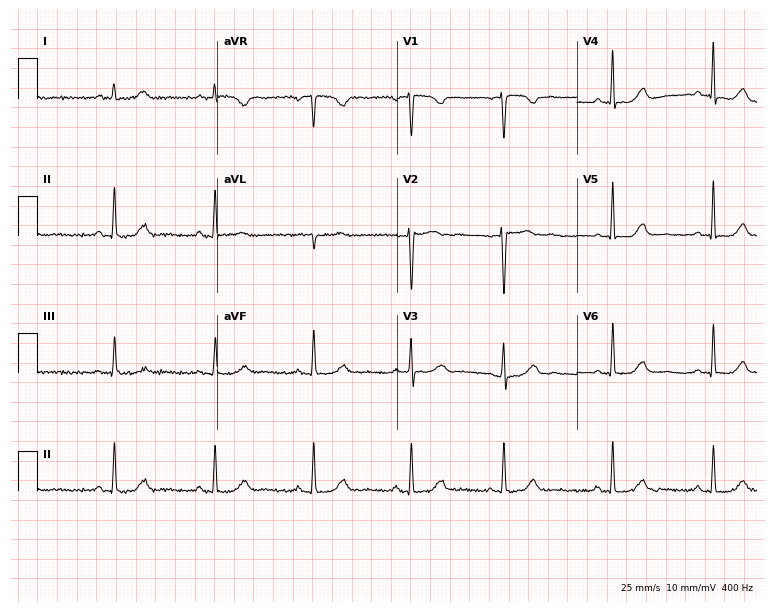
Electrocardiogram, a female patient, 35 years old. Overall reading on record: normal ECG.